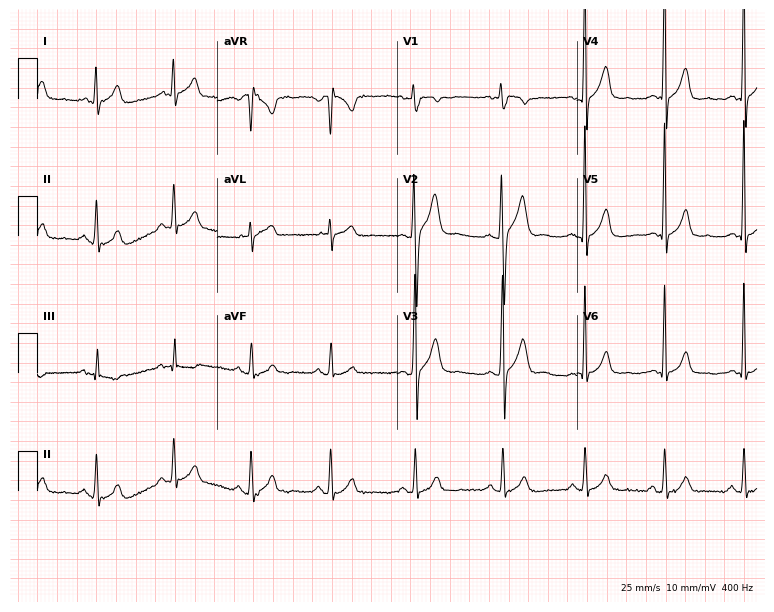
12-lead ECG from a man, 41 years old (7.3-second recording at 400 Hz). No first-degree AV block, right bundle branch block, left bundle branch block, sinus bradycardia, atrial fibrillation or sinus tachycardia recorded for this tracing.